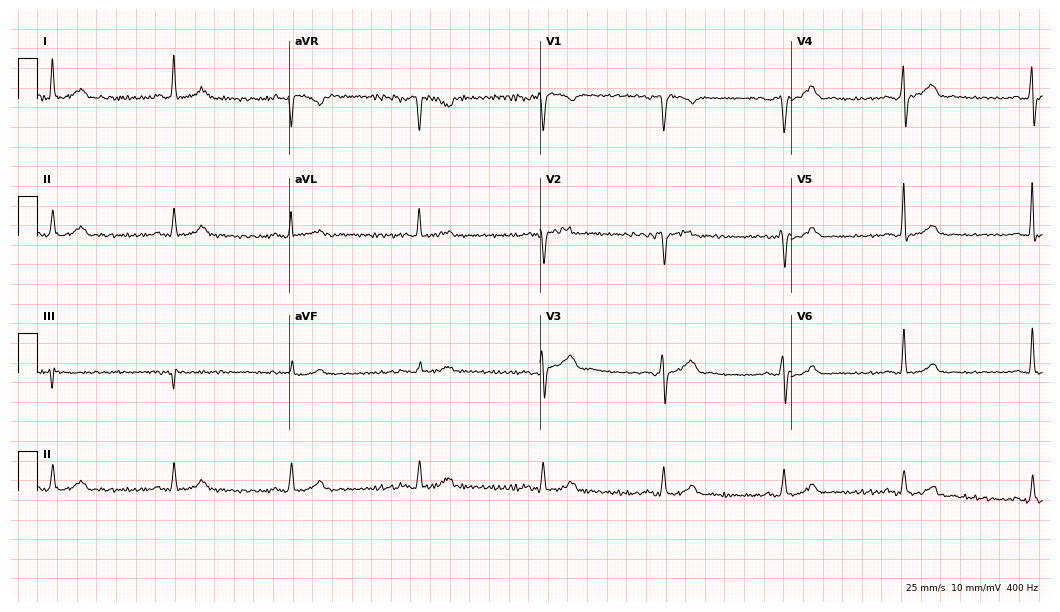
Standard 12-lead ECG recorded from a 59-year-old man (10.2-second recording at 400 Hz). Read as a normal ECG.